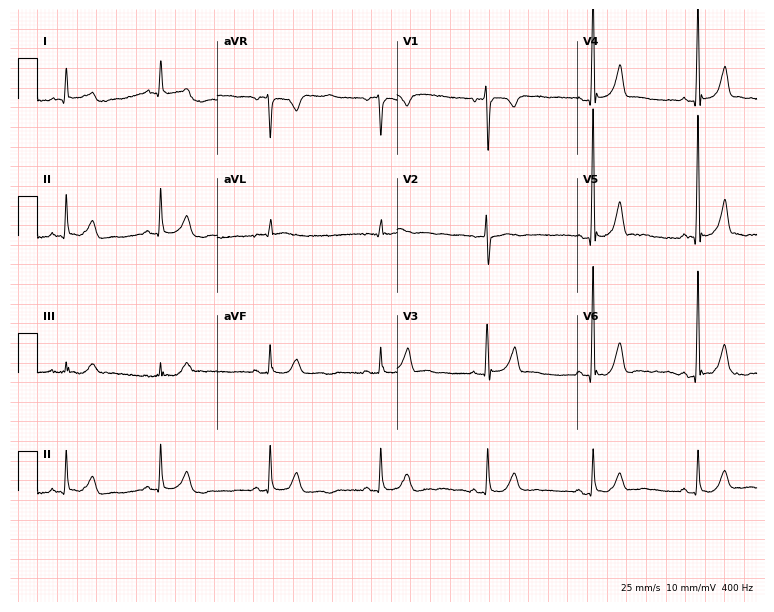
Electrocardiogram, a 70-year-old female. Of the six screened findings (first-degree AV block, right bundle branch block (RBBB), left bundle branch block (LBBB), sinus bradycardia, atrial fibrillation (AF), sinus tachycardia), none is recorded.